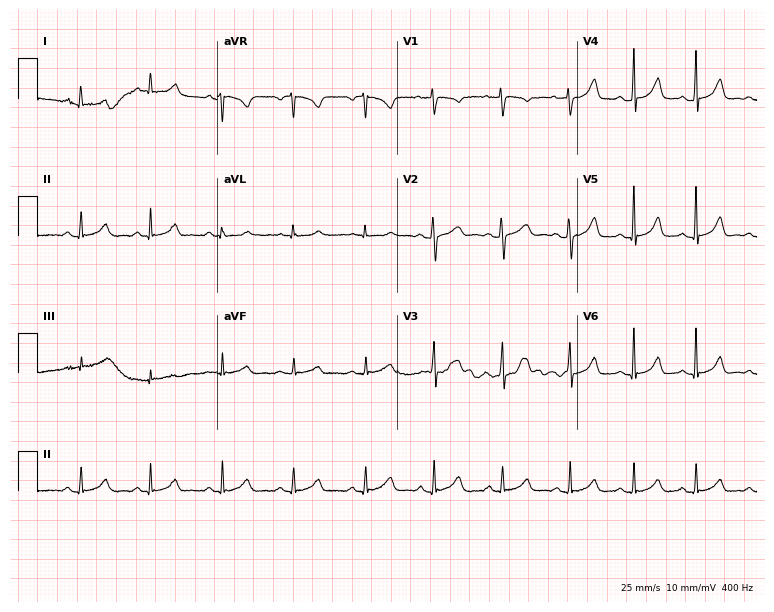
Resting 12-lead electrocardiogram. Patient: a woman, 25 years old. None of these six findings is recorded: first-degree AV block, right bundle branch block, left bundle branch block, sinus bradycardia, atrial fibrillation, sinus tachycardia.